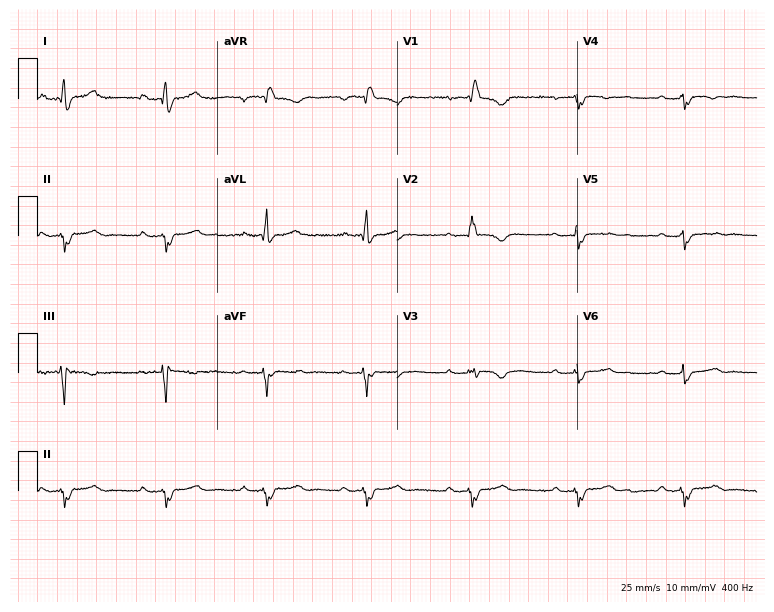
Electrocardiogram (7.3-second recording at 400 Hz), a woman, 29 years old. Interpretation includes first-degree AV block, right bundle branch block.